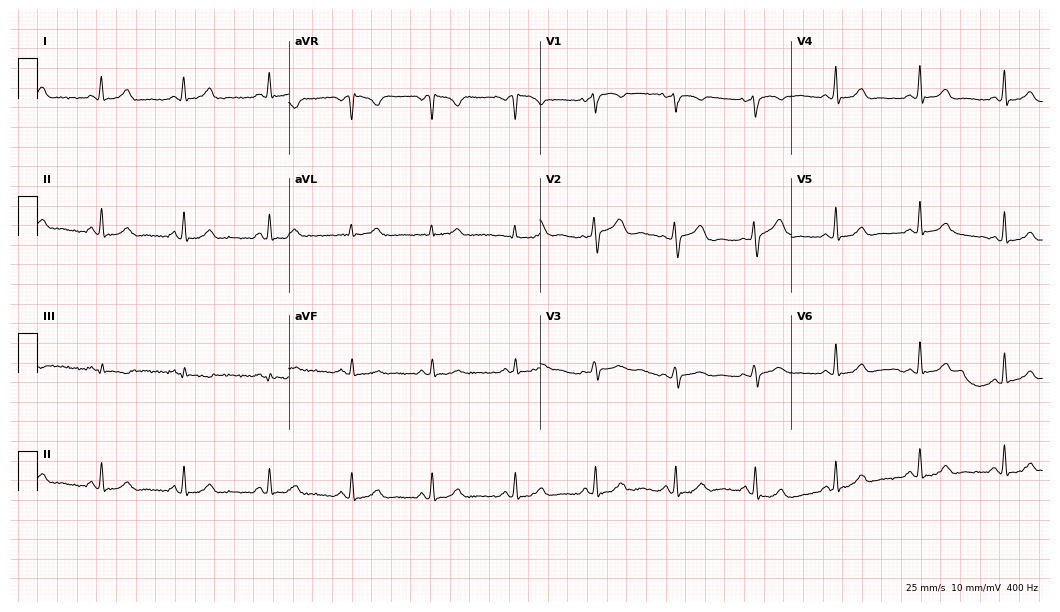
12-lead ECG from a 35-year-old woman. Labelled as a normal ECG.